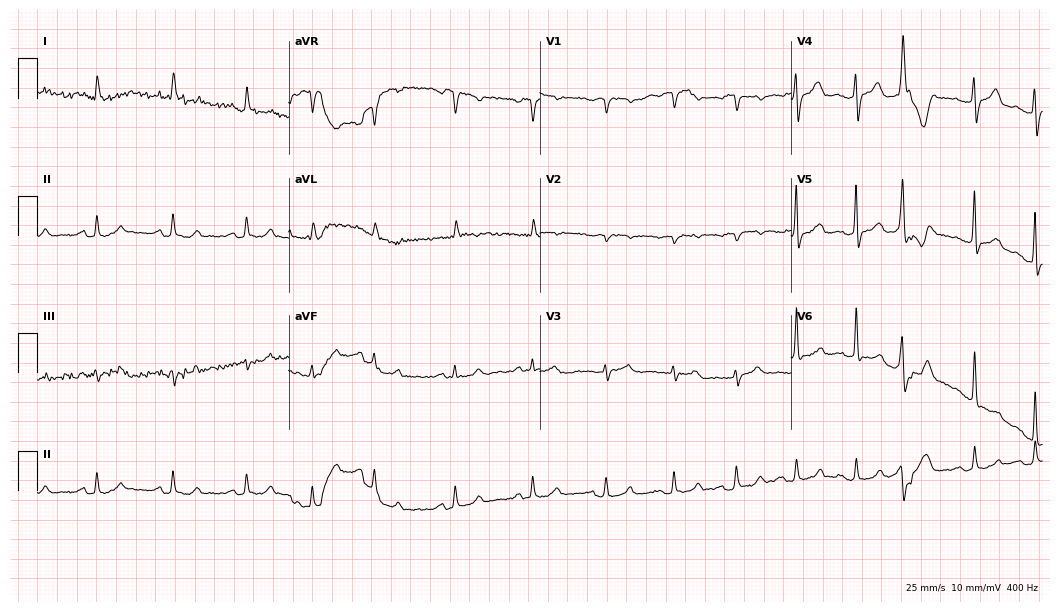
12-lead ECG from a female, 73 years old (10.2-second recording at 400 Hz). No first-degree AV block, right bundle branch block, left bundle branch block, sinus bradycardia, atrial fibrillation or sinus tachycardia recorded for this tracing. Findings outside these six are not listed.